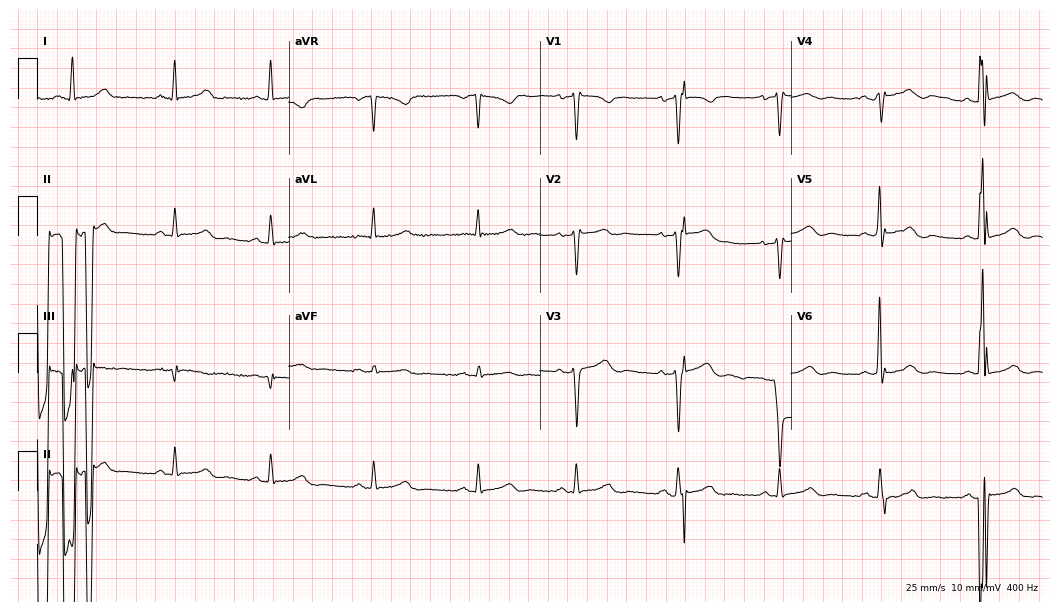
Resting 12-lead electrocardiogram. Patient: a 40-year-old female. None of these six findings is recorded: first-degree AV block, right bundle branch block, left bundle branch block, sinus bradycardia, atrial fibrillation, sinus tachycardia.